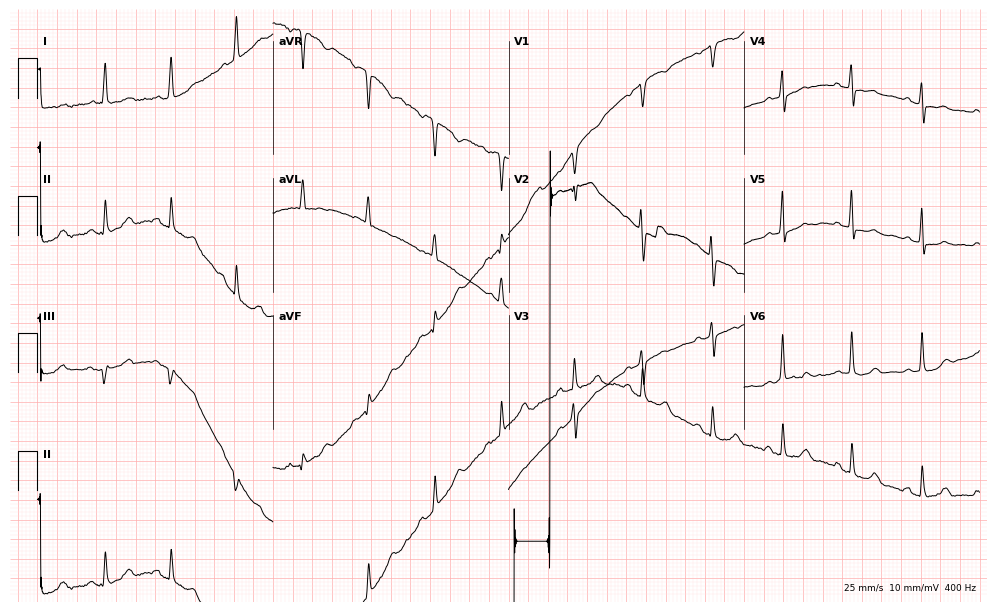
12-lead ECG from a 76-year-old woman. No first-degree AV block, right bundle branch block, left bundle branch block, sinus bradycardia, atrial fibrillation or sinus tachycardia recorded for this tracing.